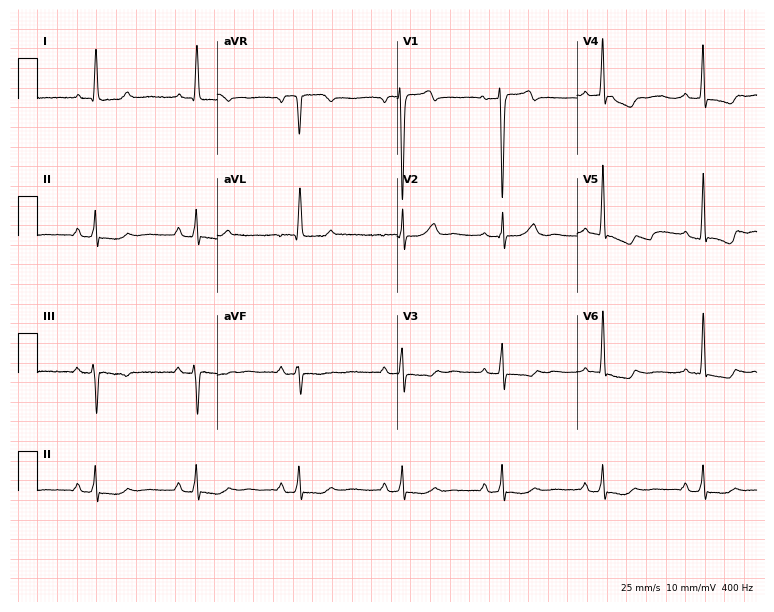
Resting 12-lead electrocardiogram. Patient: a female, 78 years old. None of these six findings is recorded: first-degree AV block, right bundle branch block, left bundle branch block, sinus bradycardia, atrial fibrillation, sinus tachycardia.